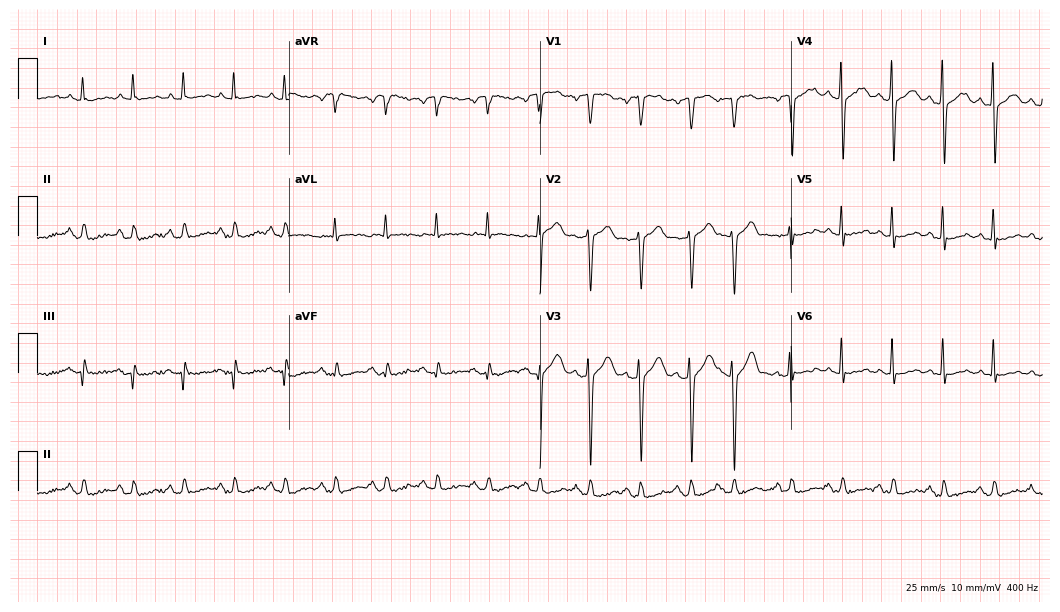
Standard 12-lead ECG recorded from a male, 75 years old. The tracing shows sinus tachycardia (a sinus rate of 100 beats per minute or more).